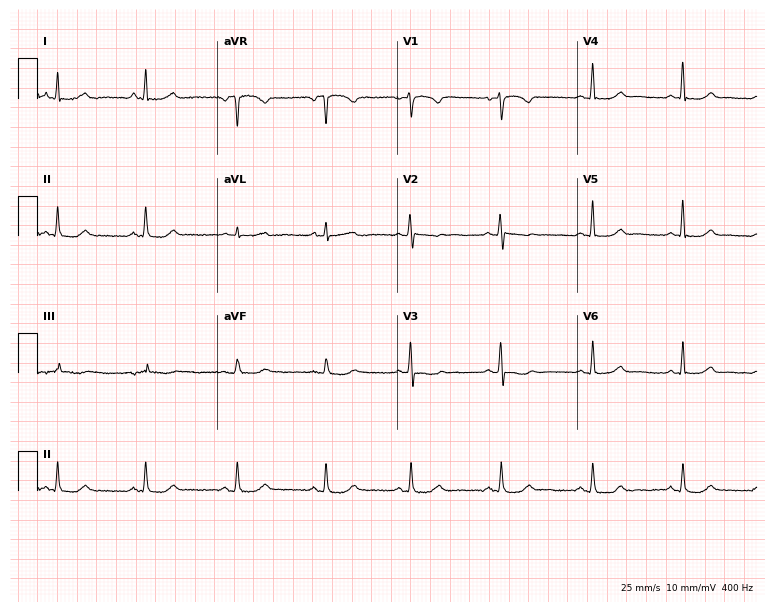
12-lead ECG from a 50-year-old female patient. Screened for six findings — first-degree AV block, right bundle branch block, left bundle branch block, sinus bradycardia, atrial fibrillation, sinus tachycardia — none is recorded.